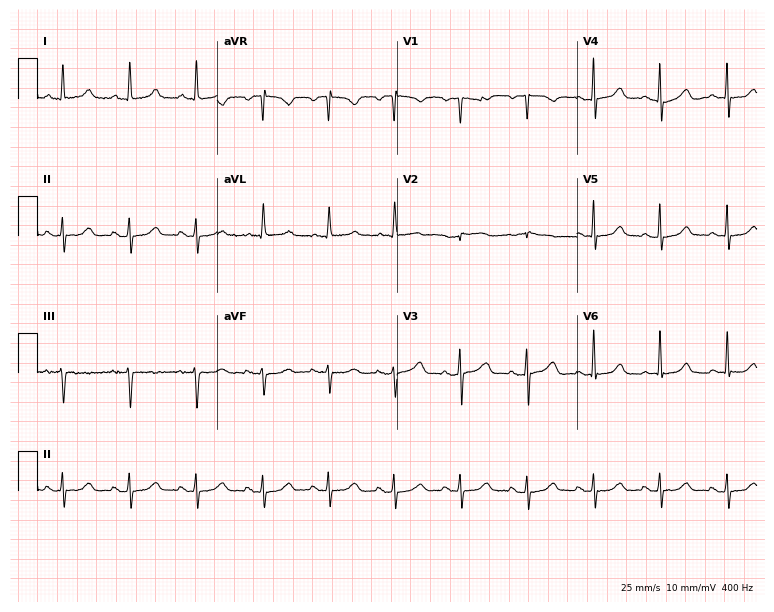
12-lead ECG from a female, 31 years old. Screened for six findings — first-degree AV block, right bundle branch block, left bundle branch block, sinus bradycardia, atrial fibrillation, sinus tachycardia — none is recorded. Findings outside these six are not listed.